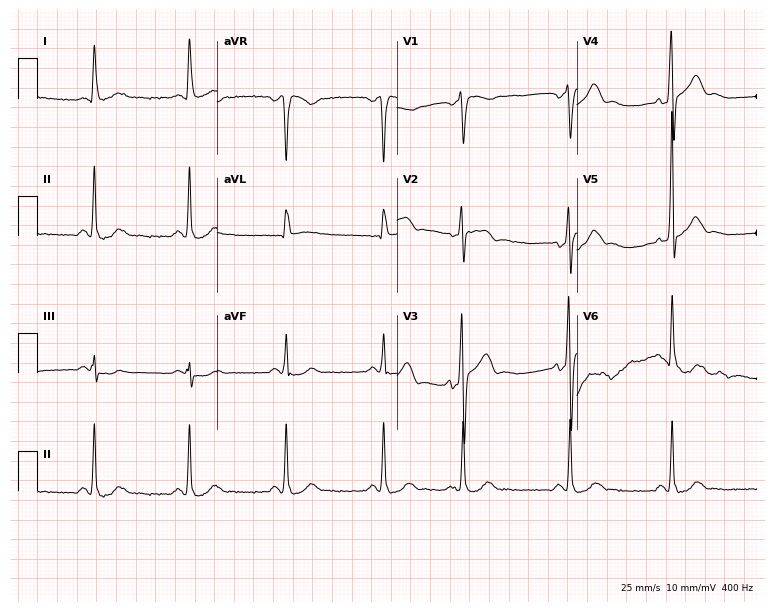
Standard 12-lead ECG recorded from a man, 59 years old. None of these six findings is recorded: first-degree AV block, right bundle branch block, left bundle branch block, sinus bradycardia, atrial fibrillation, sinus tachycardia.